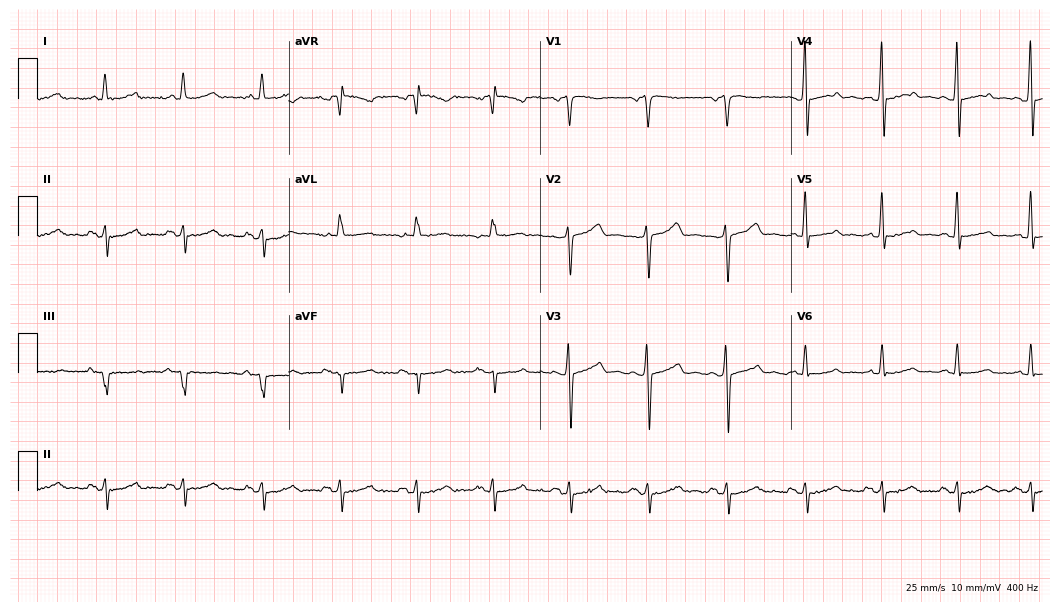
Standard 12-lead ECG recorded from a 70-year-old male (10.2-second recording at 400 Hz). None of these six findings is recorded: first-degree AV block, right bundle branch block, left bundle branch block, sinus bradycardia, atrial fibrillation, sinus tachycardia. Other findings, if any, are not listed.